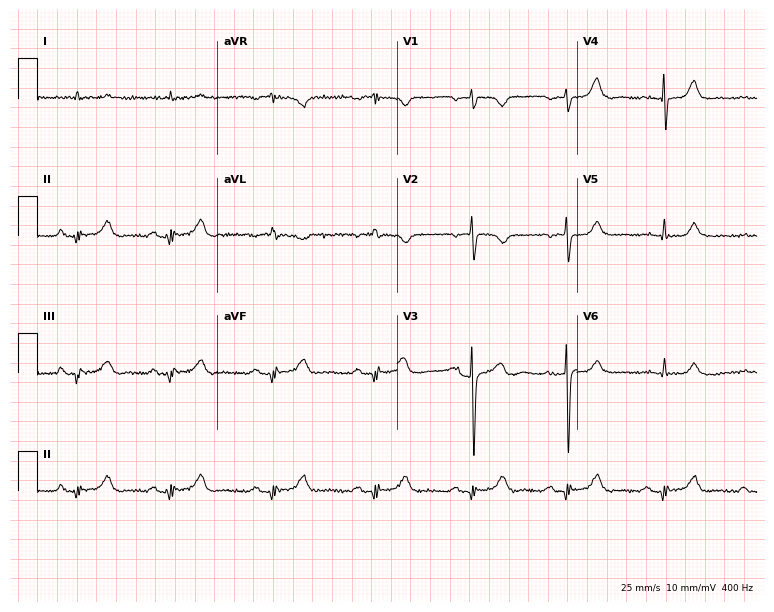
12-lead ECG from a man, 67 years old (7.3-second recording at 400 Hz). Recorded interpretation: within normal limits.